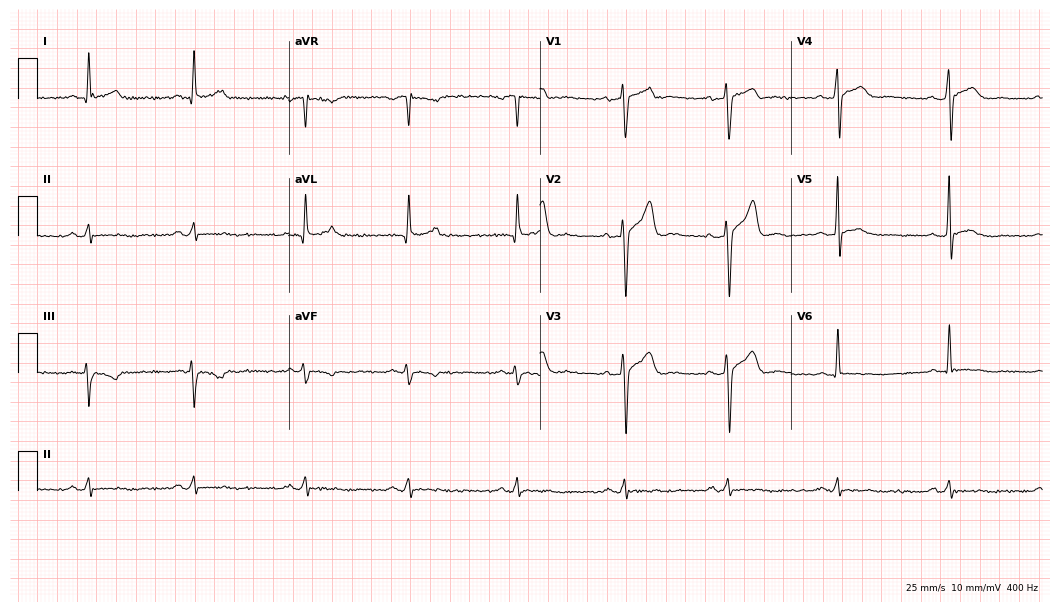
ECG — a 44-year-old male. Labelled as a normal ECG.